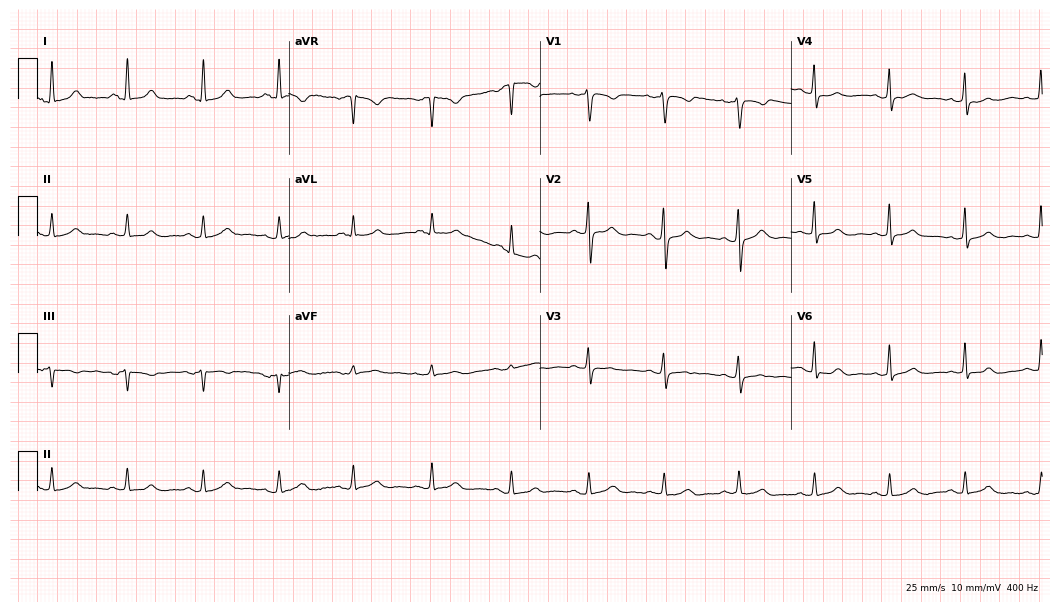
12-lead ECG from a female, 49 years old. Labelled as a normal ECG.